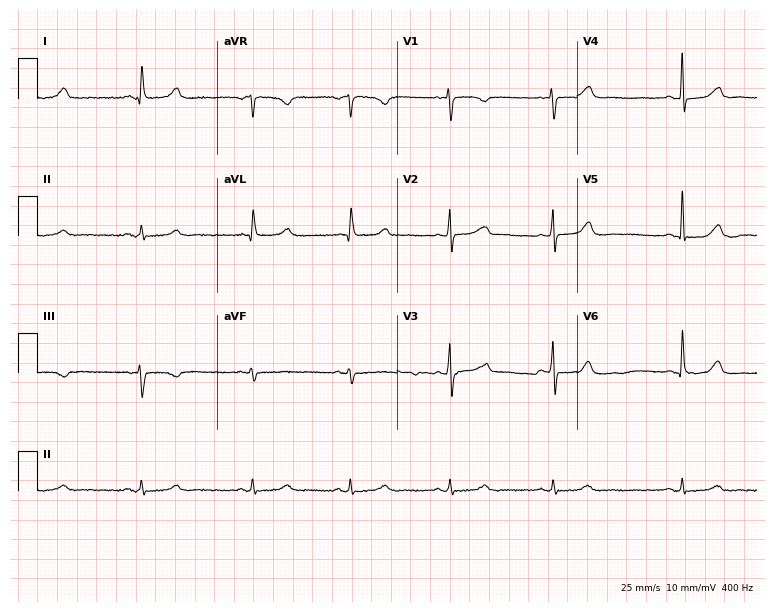
Resting 12-lead electrocardiogram. Patient: a 68-year-old female. Read as a normal ECG.